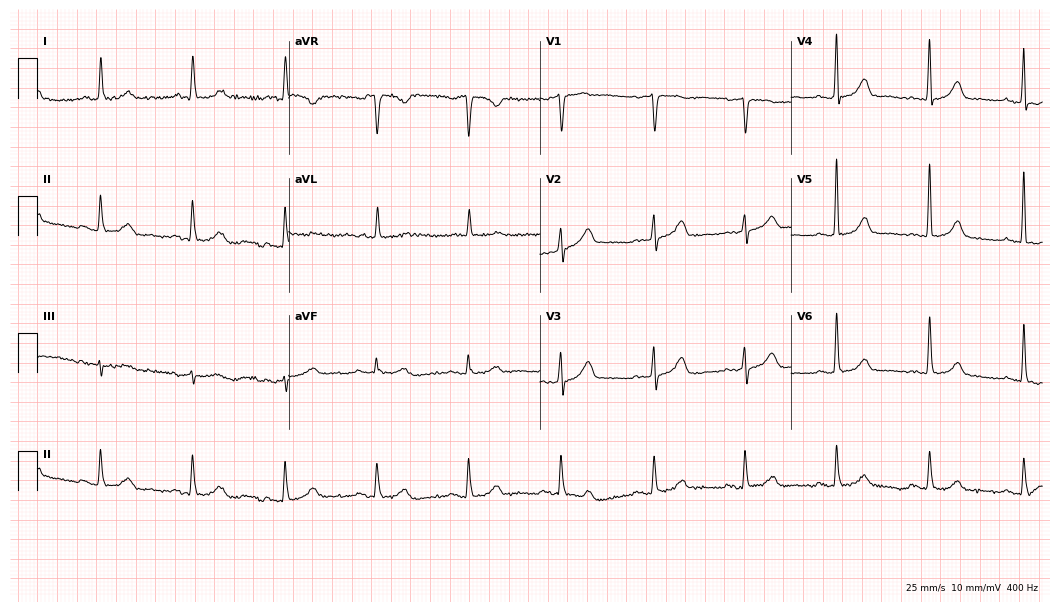
Standard 12-lead ECG recorded from a 66-year-old female. None of these six findings is recorded: first-degree AV block, right bundle branch block (RBBB), left bundle branch block (LBBB), sinus bradycardia, atrial fibrillation (AF), sinus tachycardia.